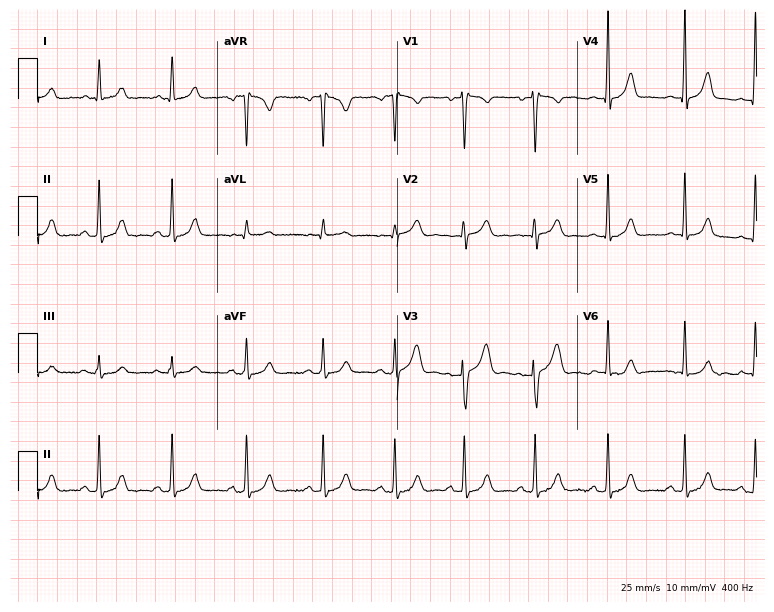
ECG (7.3-second recording at 400 Hz) — a 25-year-old female. Labelled as a normal ECG.